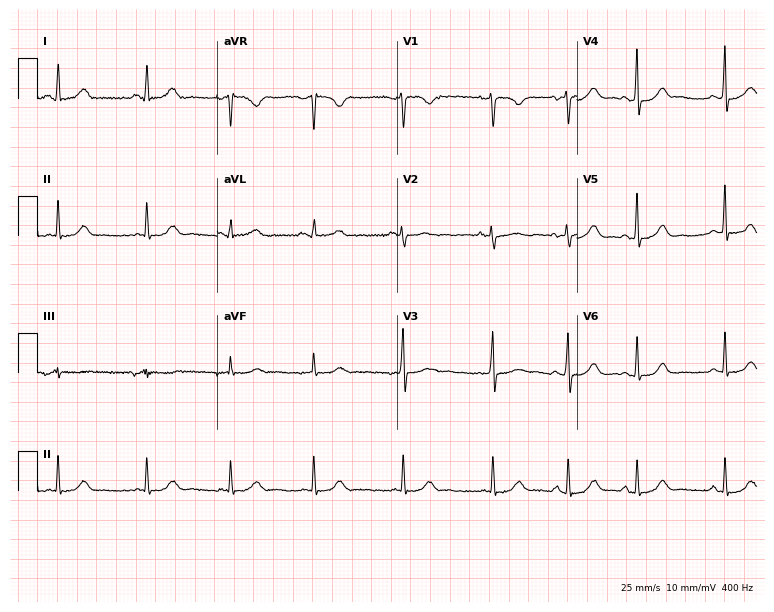
12-lead ECG from a female patient, 26 years old (7.3-second recording at 400 Hz). No first-degree AV block, right bundle branch block, left bundle branch block, sinus bradycardia, atrial fibrillation or sinus tachycardia recorded for this tracing. Other findings, if any, are not listed.